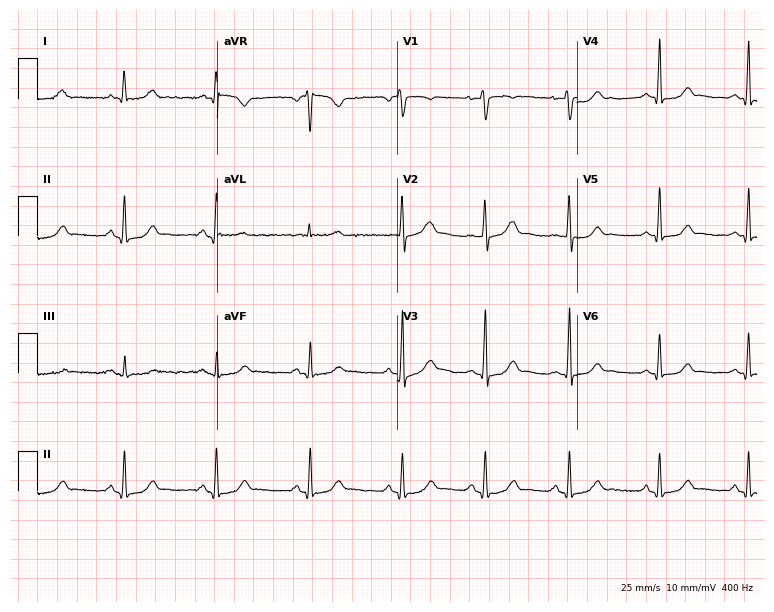
Electrocardiogram, a 42-year-old female. Of the six screened findings (first-degree AV block, right bundle branch block, left bundle branch block, sinus bradycardia, atrial fibrillation, sinus tachycardia), none is recorded. Findings outside these six are not listed.